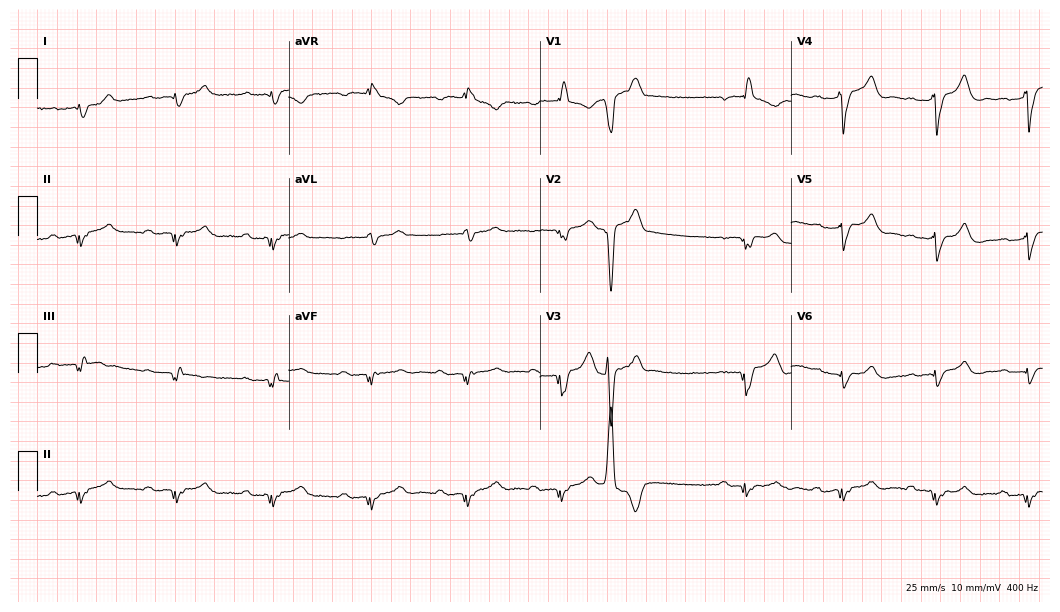
12-lead ECG (10.2-second recording at 400 Hz) from a male, 76 years old. Findings include first-degree AV block, right bundle branch block.